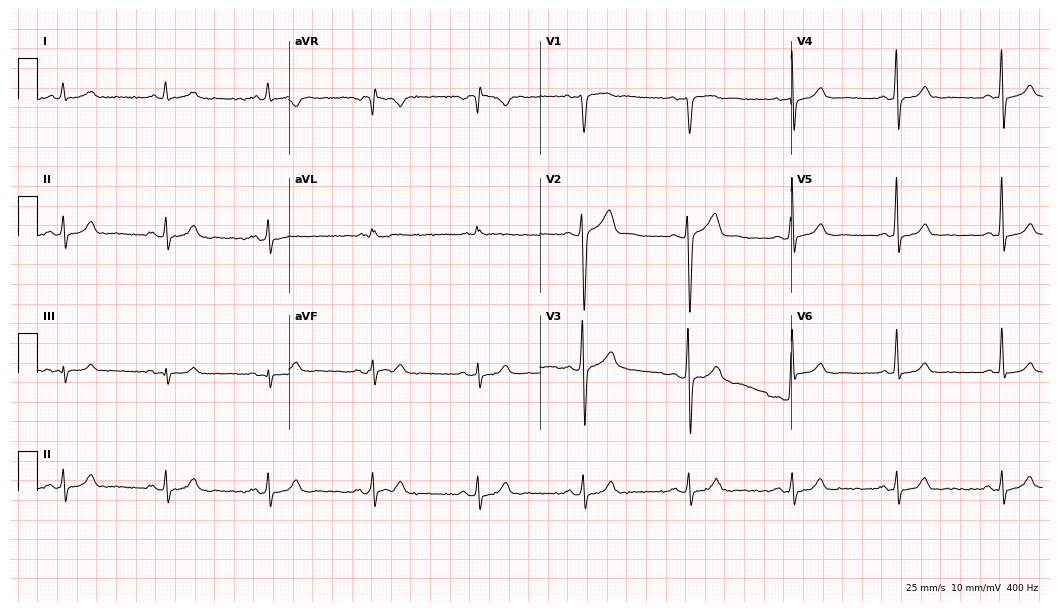
12-lead ECG (10.2-second recording at 400 Hz) from a 50-year-old man. Labelled as a normal ECG.